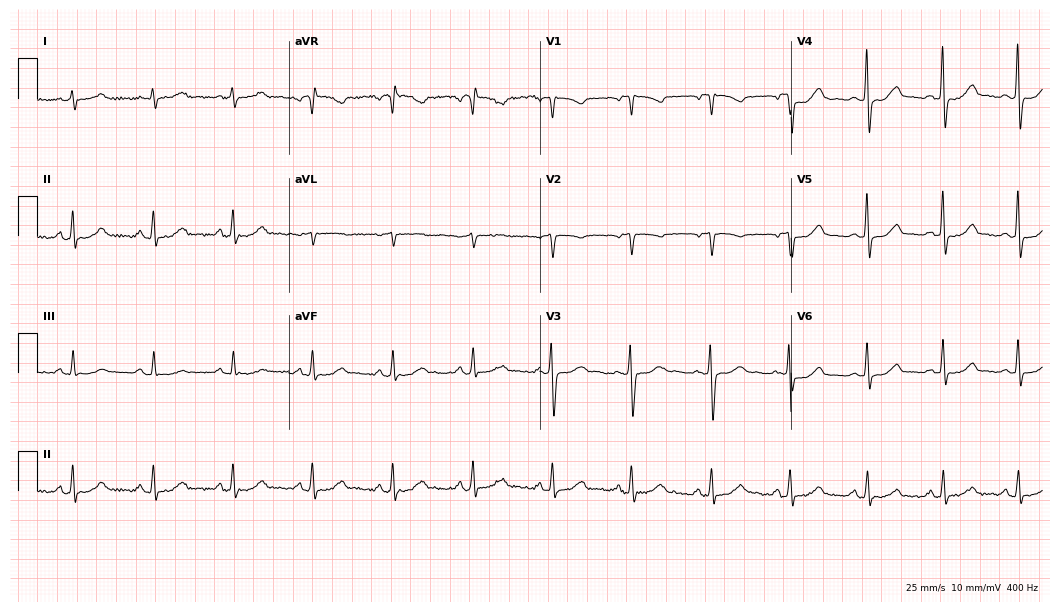
12-lead ECG from a woman, 71 years old (10.2-second recording at 400 Hz). No first-degree AV block, right bundle branch block (RBBB), left bundle branch block (LBBB), sinus bradycardia, atrial fibrillation (AF) or sinus tachycardia recorded for this tracing. Only these six findings were labelled.